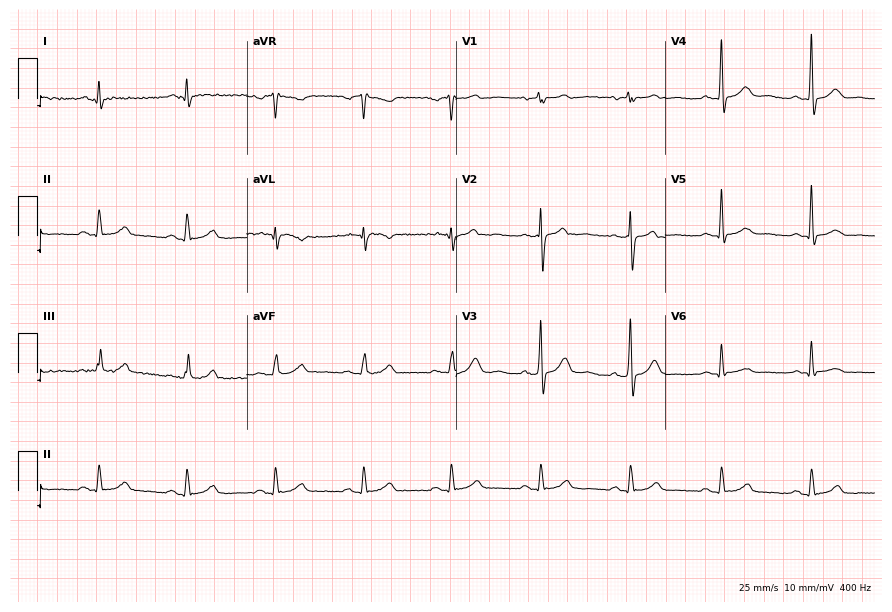
ECG — a 56-year-old man. Labelled as a normal ECG.